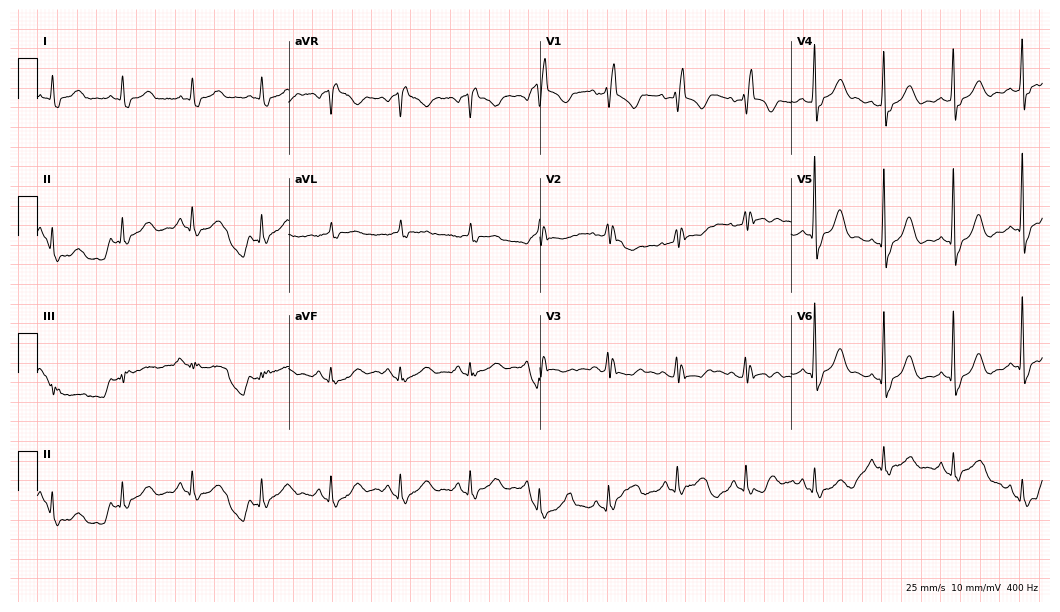
ECG (10.2-second recording at 400 Hz) — a woman, 72 years old. Screened for six findings — first-degree AV block, right bundle branch block (RBBB), left bundle branch block (LBBB), sinus bradycardia, atrial fibrillation (AF), sinus tachycardia — none is recorded.